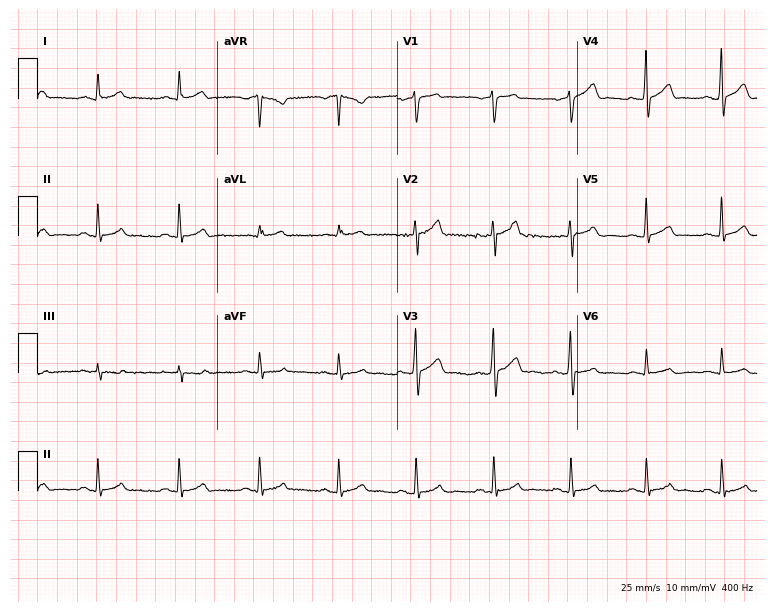
12-lead ECG from a male patient, 39 years old (7.3-second recording at 400 Hz). Recorded interpretation: within normal limits.